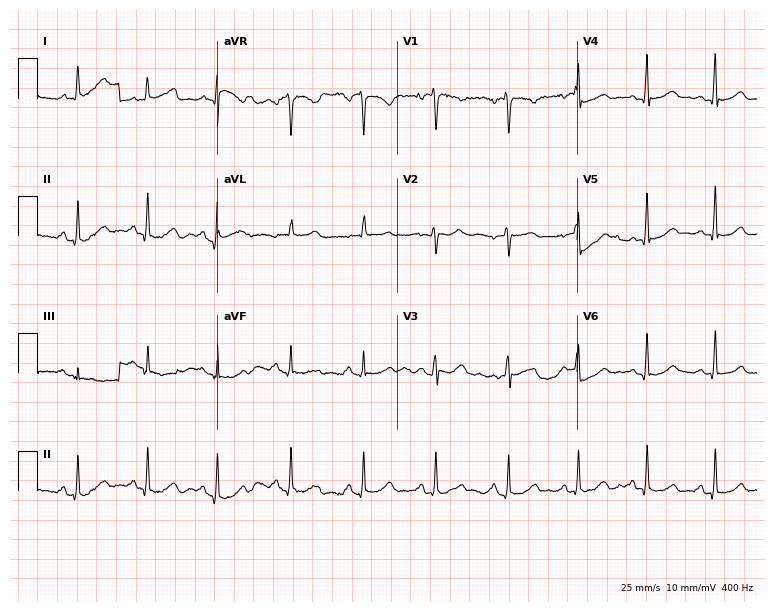
12-lead ECG from a 41-year-old woman. Labelled as a normal ECG.